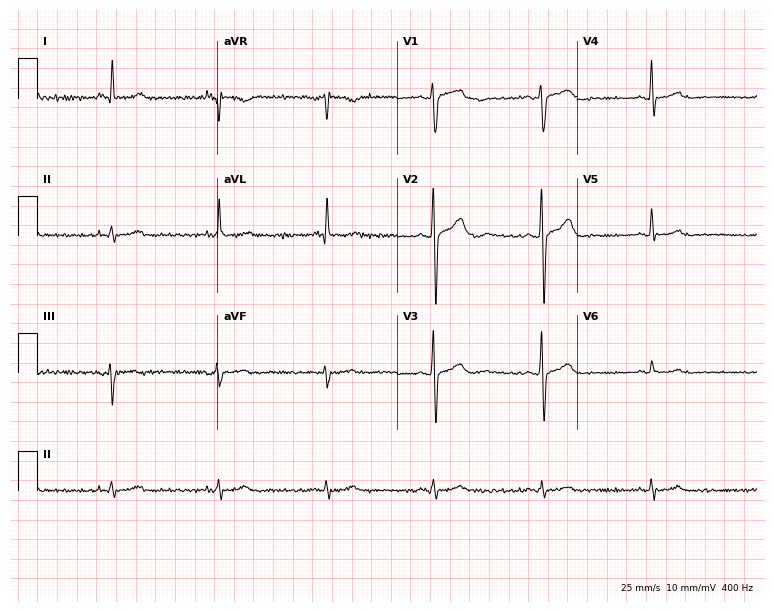
Electrocardiogram, a 64-year-old male patient. Overall reading on record: normal ECG.